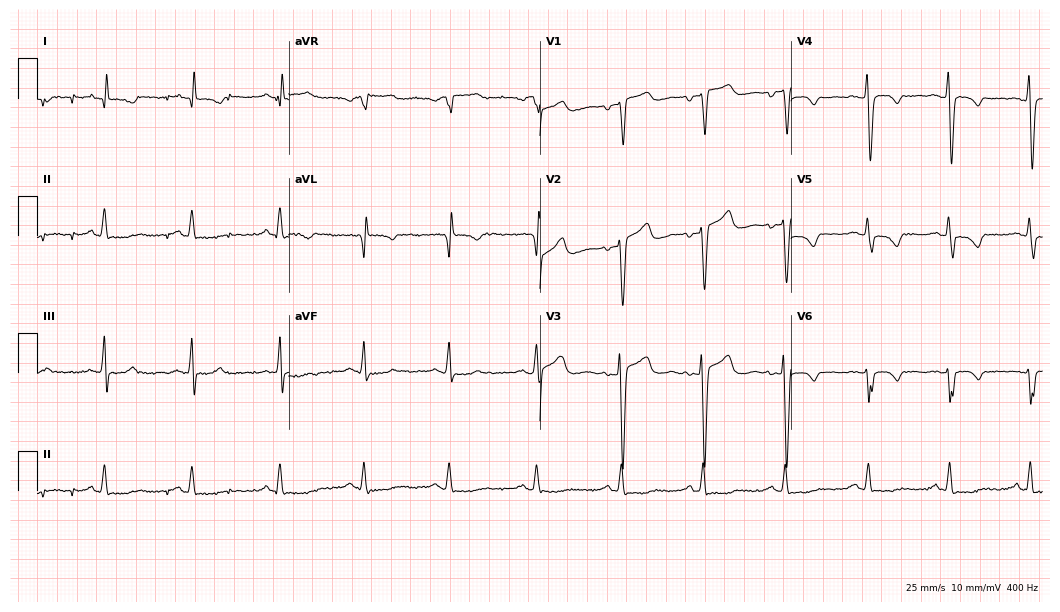
Electrocardiogram (10.2-second recording at 400 Hz), a 43-year-old man. Of the six screened findings (first-degree AV block, right bundle branch block, left bundle branch block, sinus bradycardia, atrial fibrillation, sinus tachycardia), none is recorded. Findings outside these six are not listed.